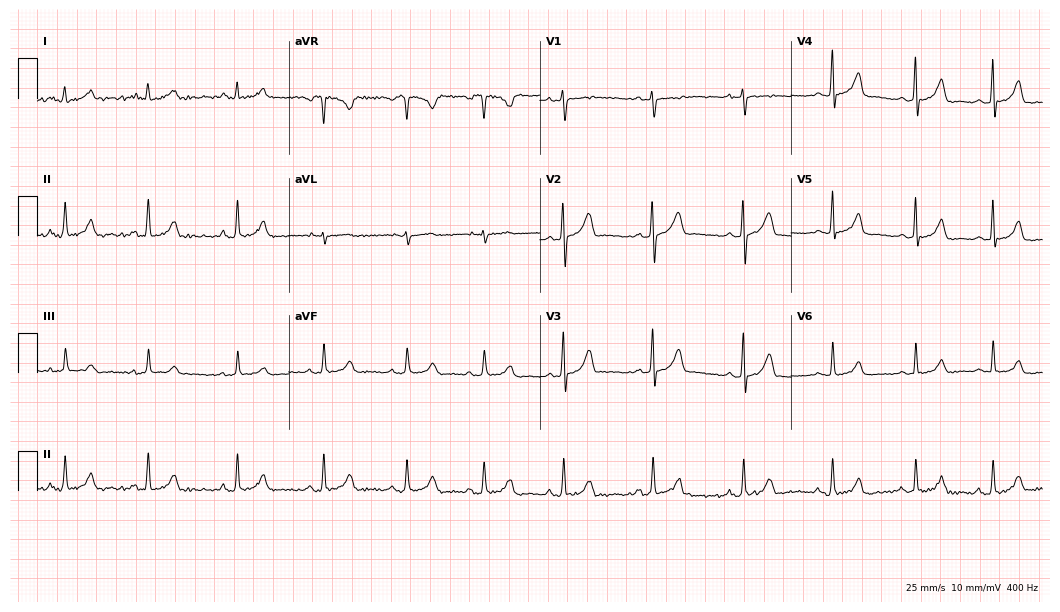
ECG — an 18-year-old woman. Labelled as a normal ECG.